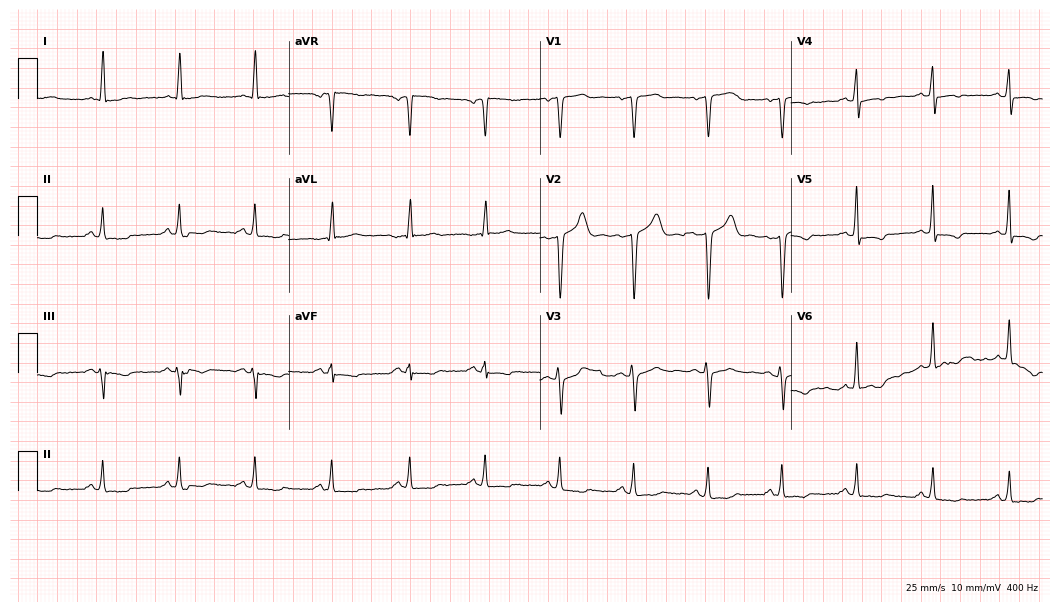
ECG — a 43-year-old man. Screened for six findings — first-degree AV block, right bundle branch block (RBBB), left bundle branch block (LBBB), sinus bradycardia, atrial fibrillation (AF), sinus tachycardia — none is recorded.